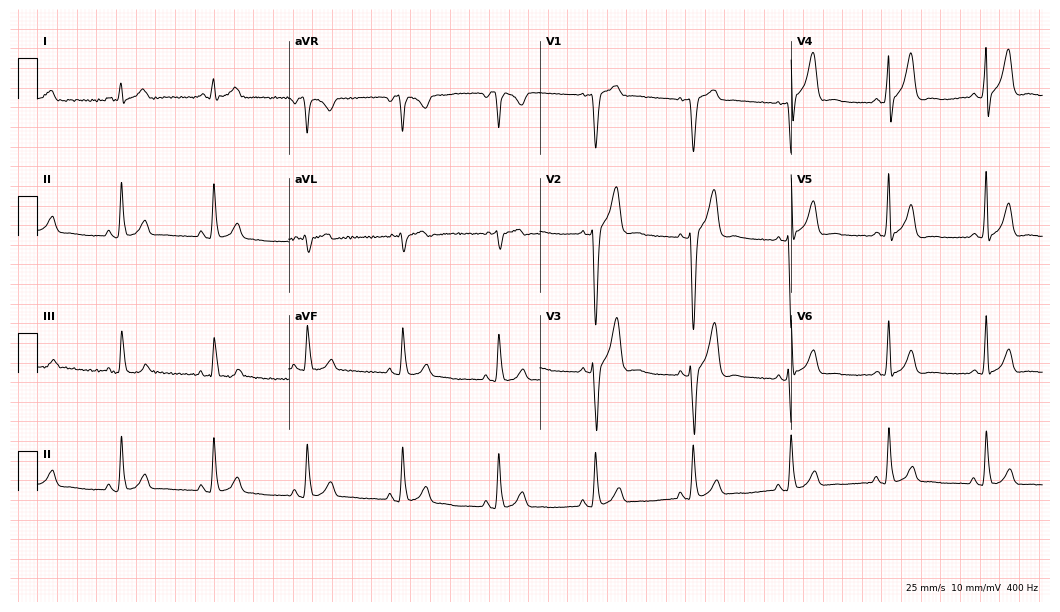
Resting 12-lead electrocardiogram. Patient: a male, 56 years old. None of these six findings is recorded: first-degree AV block, right bundle branch block, left bundle branch block, sinus bradycardia, atrial fibrillation, sinus tachycardia.